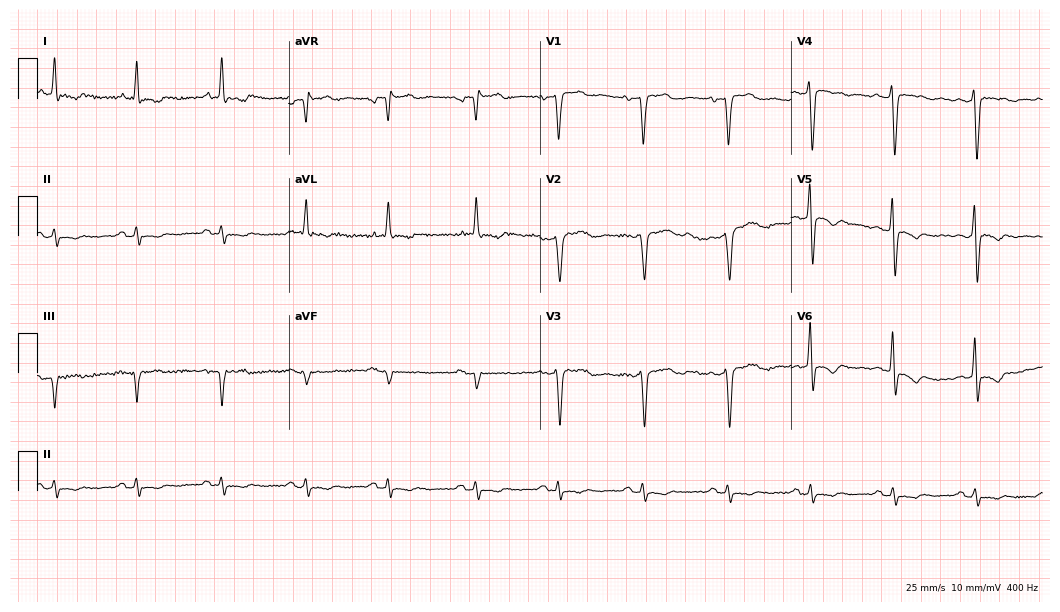
Standard 12-lead ECG recorded from a male, 52 years old. None of these six findings is recorded: first-degree AV block, right bundle branch block, left bundle branch block, sinus bradycardia, atrial fibrillation, sinus tachycardia.